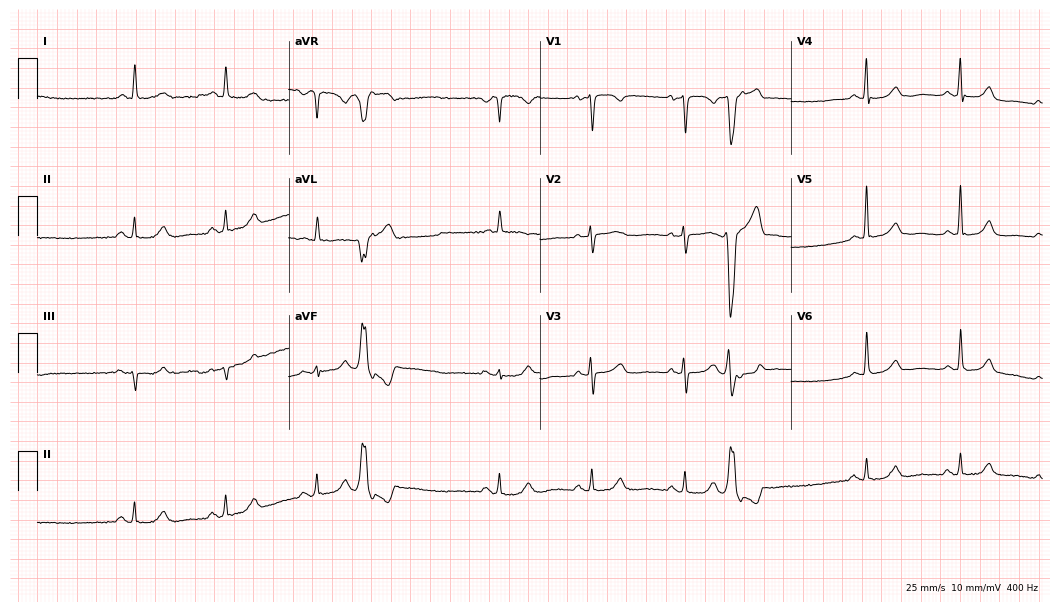
Standard 12-lead ECG recorded from a female, 82 years old (10.2-second recording at 400 Hz). None of these six findings is recorded: first-degree AV block, right bundle branch block (RBBB), left bundle branch block (LBBB), sinus bradycardia, atrial fibrillation (AF), sinus tachycardia. Only these six findings were labelled.